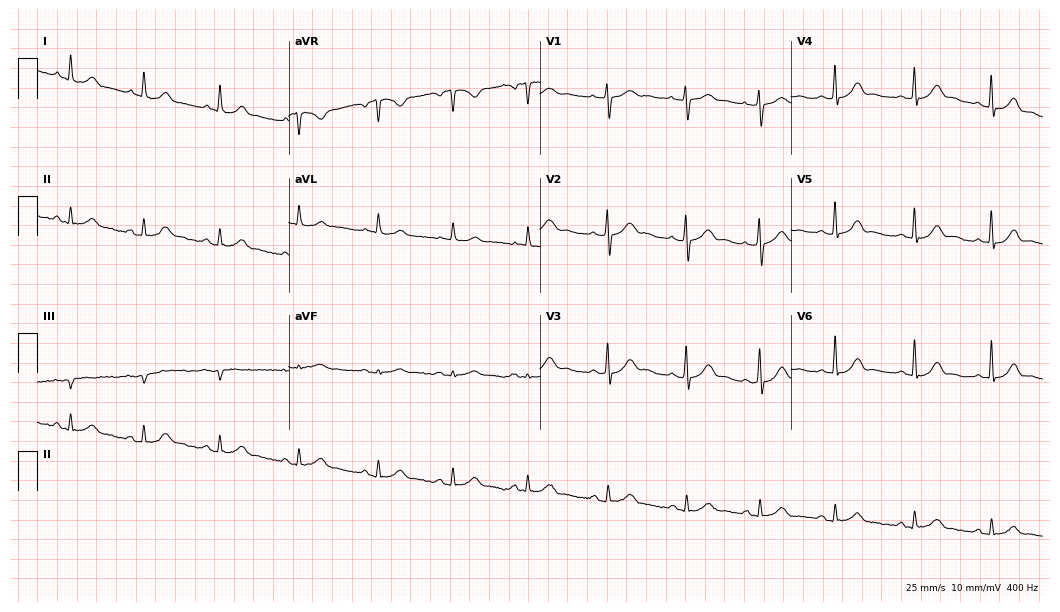
ECG (10.2-second recording at 400 Hz) — a female, 36 years old. Labelled as a normal ECG.